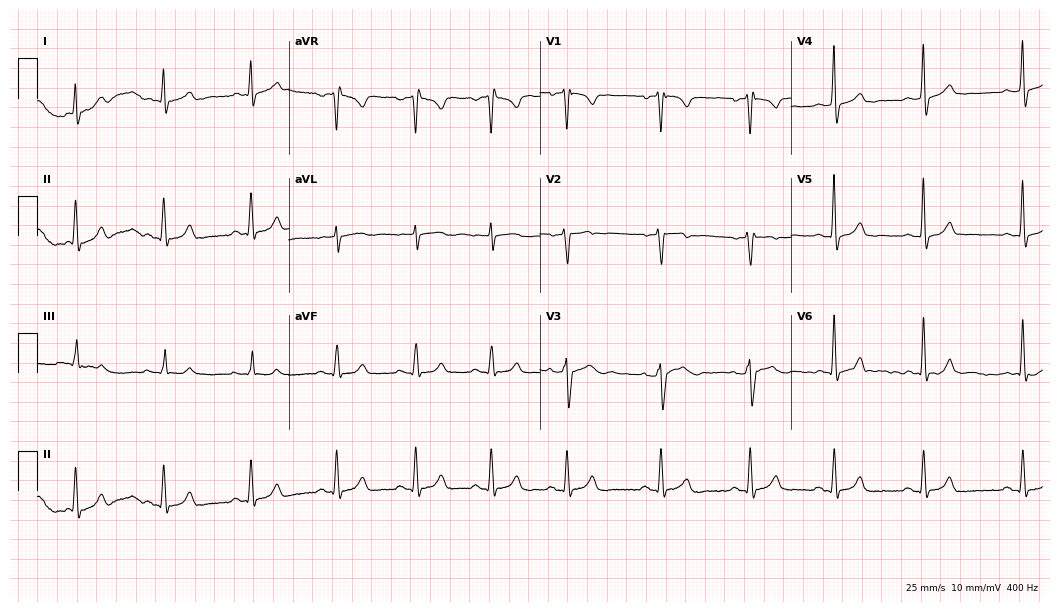
12-lead ECG from a male patient, 24 years old. Screened for six findings — first-degree AV block, right bundle branch block, left bundle branch block, sinus bradycardia, atrial fibrillation, sinus tachycardia — none is recorded. Other findings, if any, are not listed.